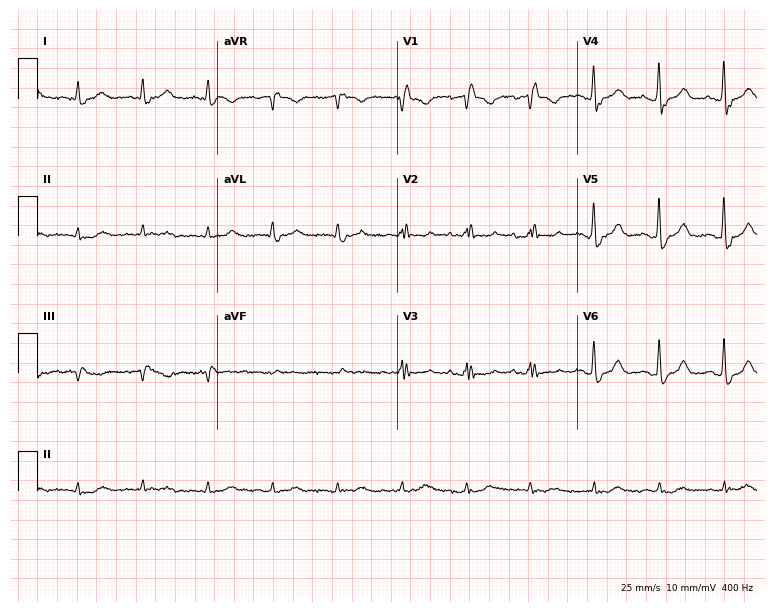
Electrocardiogram, a 77-year-old male. Interpretation includes right bundle branch block.